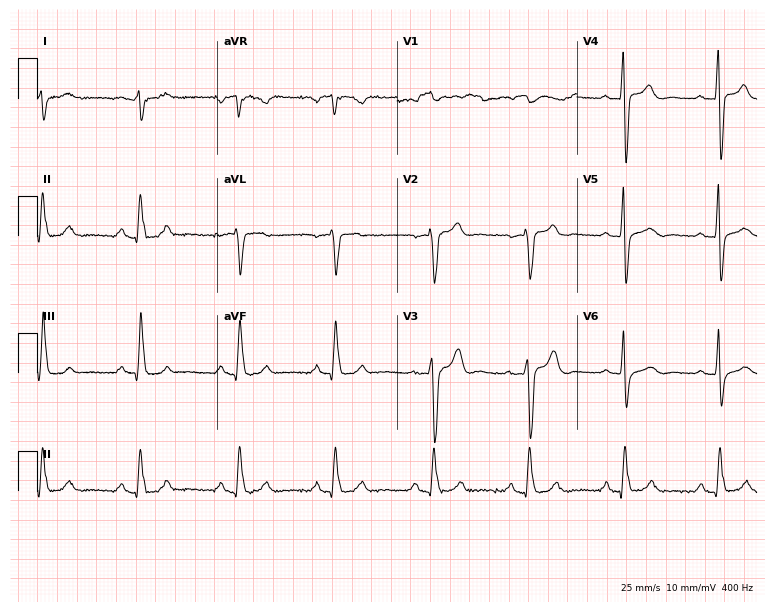
Resting 12-lead electrocardiogram. Patient: a 58-year-old male. None of these six findings is recorded: first-degree AV block, right bundle branch block, left bundle branch block, sinus bradycardia, atrial fibrillation, sinus tachycardia. Only these six findings were labelled.